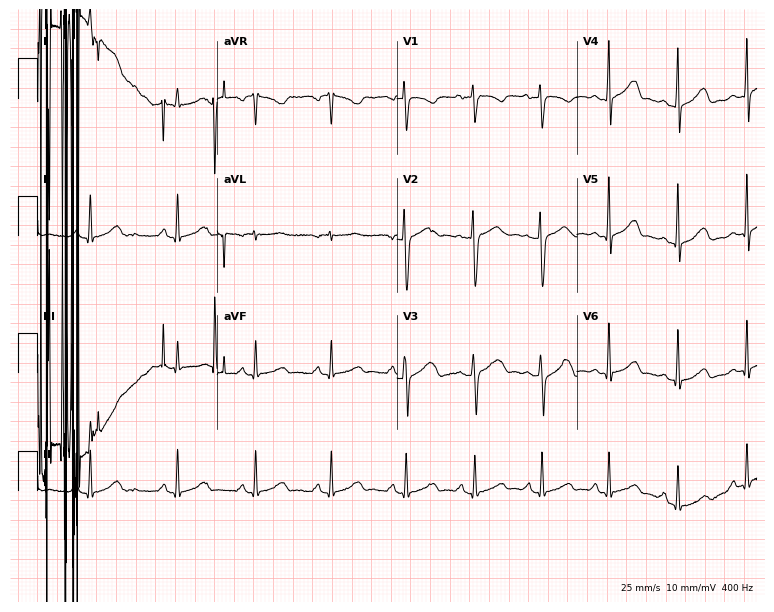
12-lead ECG from a 23-year-old female patient. No first-degree AV block, right bundle branch block, left bundle branch block, sinus bradycardia, atrial fibrillation or sinus tachycardia recorded for this tracing.